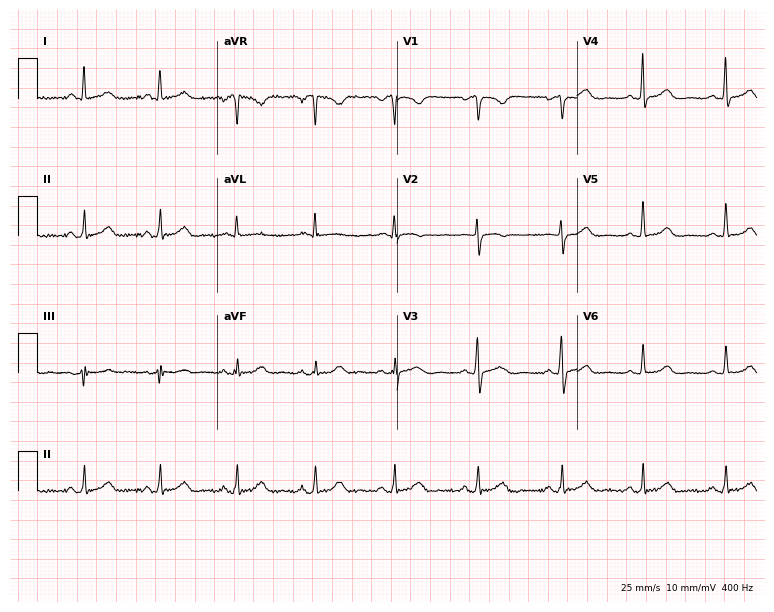
Electrocardiogram (7.3-second recording at 400 Hz), a 37-year-old woman. Overall reading on record: normal ECG.